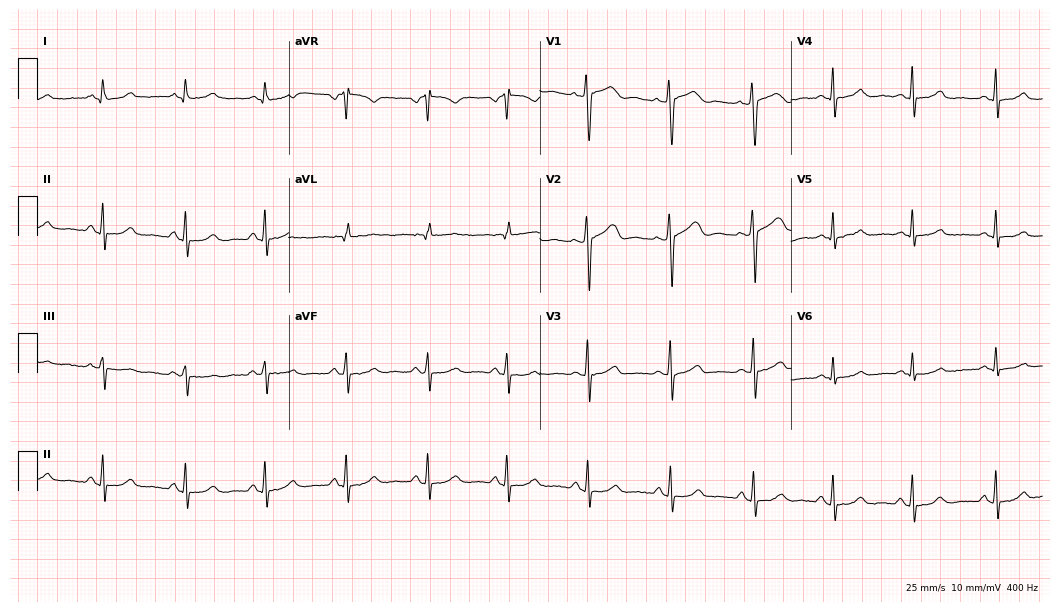
Electrocardiogram, a female, 36 years old. Overall reading on record: normal ECG.